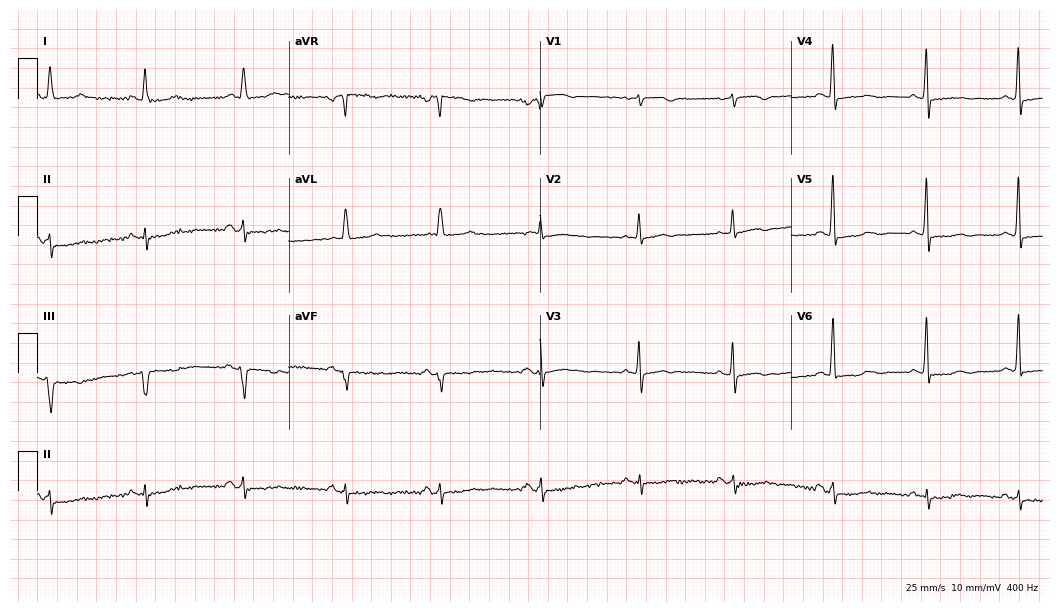
ECG (10.2-second recording at 400 Hz) — a female patient, 60 years old. Screened for six findings — first-degree AV block, right bundle branch block, left bundle branch block, sinus bradycardia, atrial fibrillation, sinus tachycardia — none is recorded. Other findings, if any, are not listed.